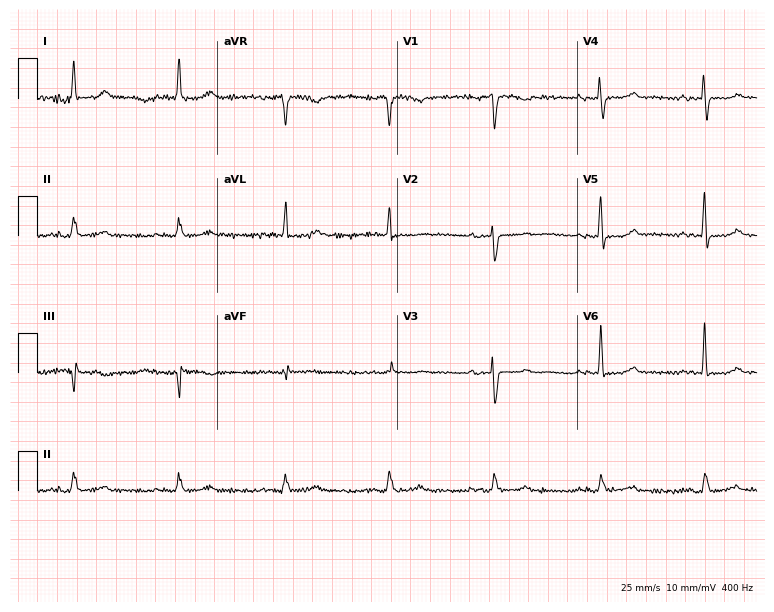
12-lead ECG from a female, 70 years old. Findings include first-degree AV block.